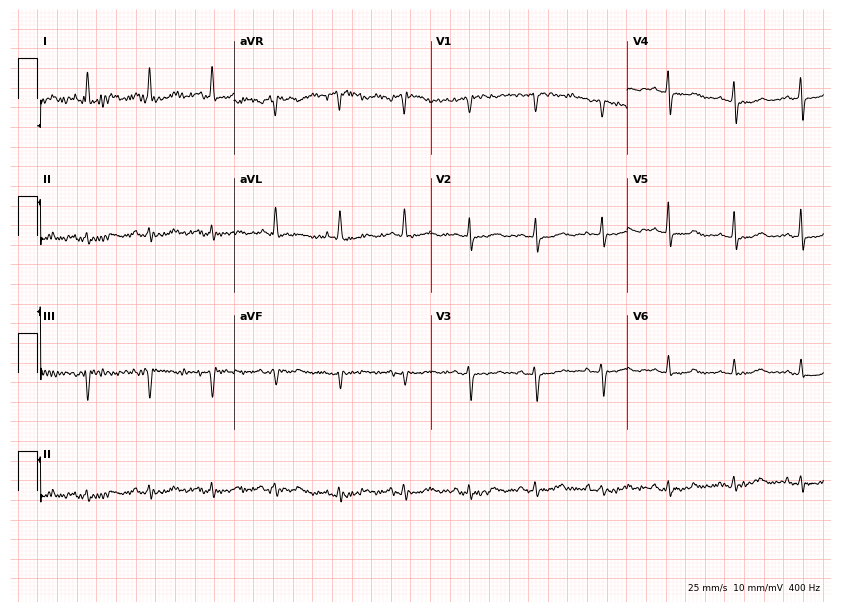
12-lead ECG from a female, 66 years old. Screened for six findings — first-degree AV block, right bundle branch block (RBBB), left bundle branch block (LBBB), sinus bradycardia, atrial fibrillation (AF), sinus tachycardia — none is recorded.